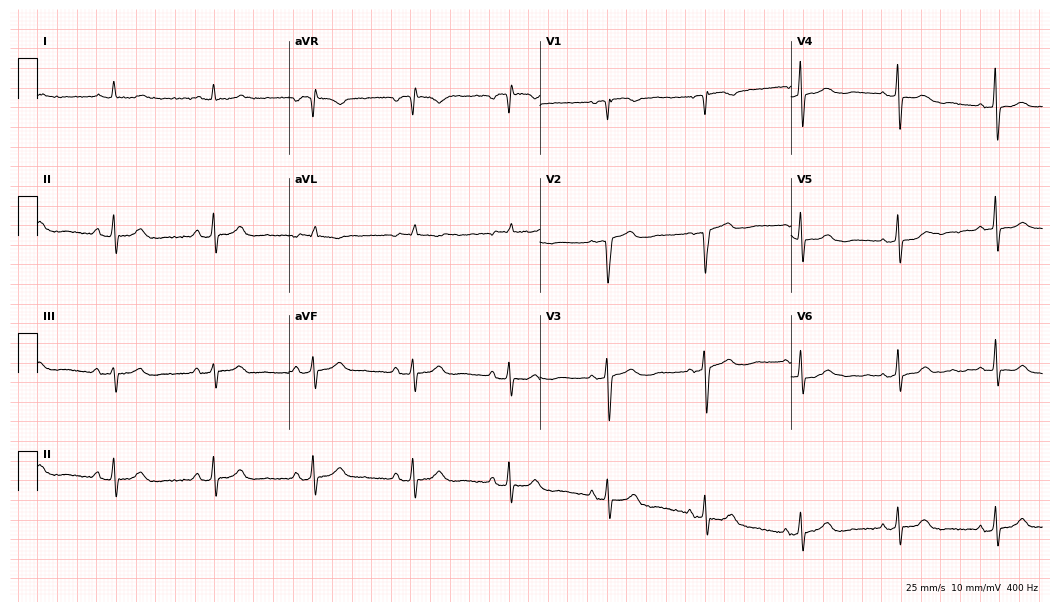
ECG (10.2-second recording at 400 Hz) — a female, 76 years old. Screened for six findings — first-degree AV block, right bundle branch block, left bundle branch block, sinus bradycardia, atrial fibrillation, sinus tachycardia — none is recorded. Findings outside these six are not listed.